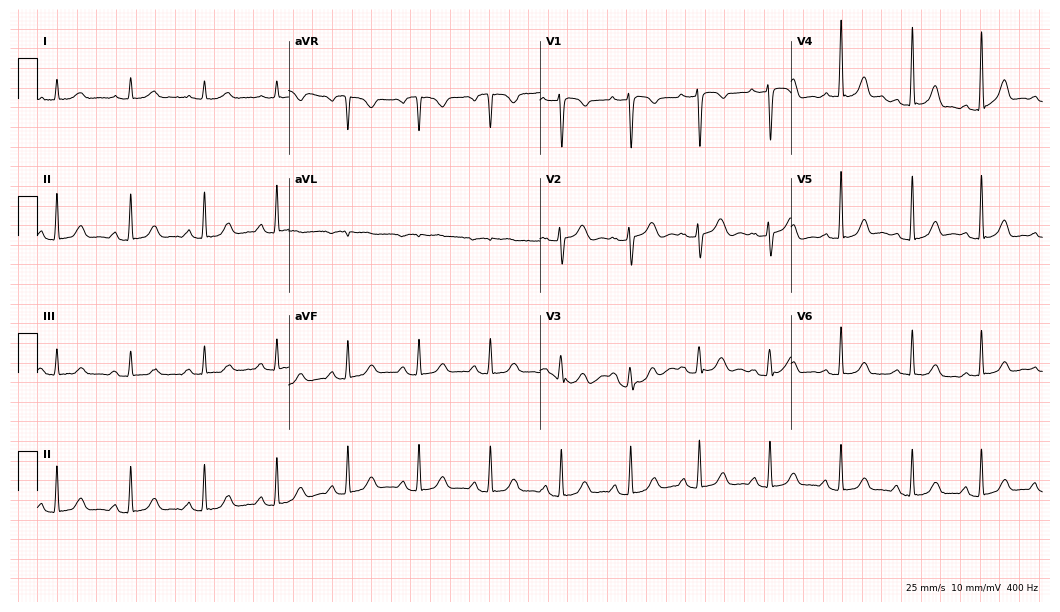
12-lead ECG from a female patient, 75 years old. Labelled as a normal ECG.